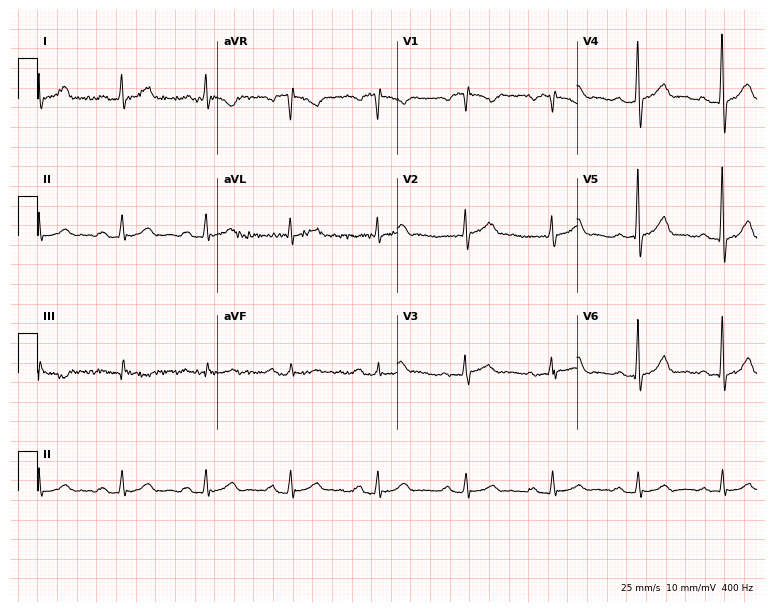
Electrocardiogram (7.3-second recording at 400 Hz), a 46-year-old male. Overall reading on record: normal ECG.